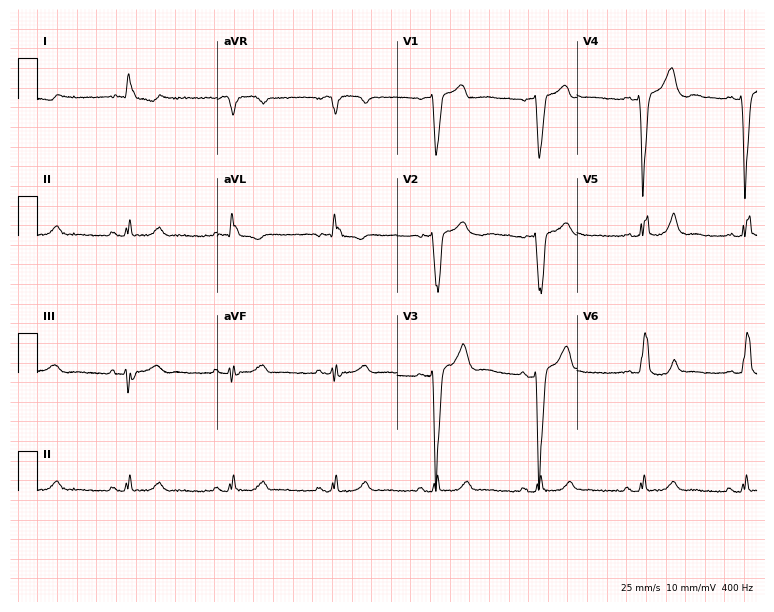
Electrocardiogram, a male patient, 68 years old. Interpretation includes left bundle branch block (LBBB).